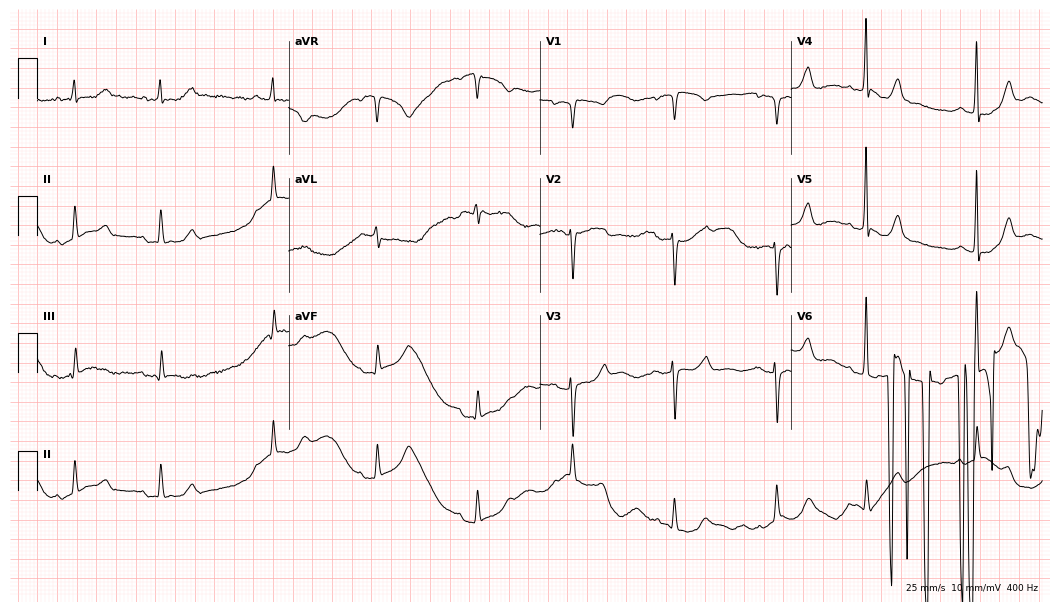
Electrocardiogram, a woman, 74 years old. Of the six screened findings (first-degree AV block, right bundle branch block (RBBB), left bundle branch block (LBBB), sinus bradycardia, atrial fibrillation (AF), sinus tachycardia), none is recorded.